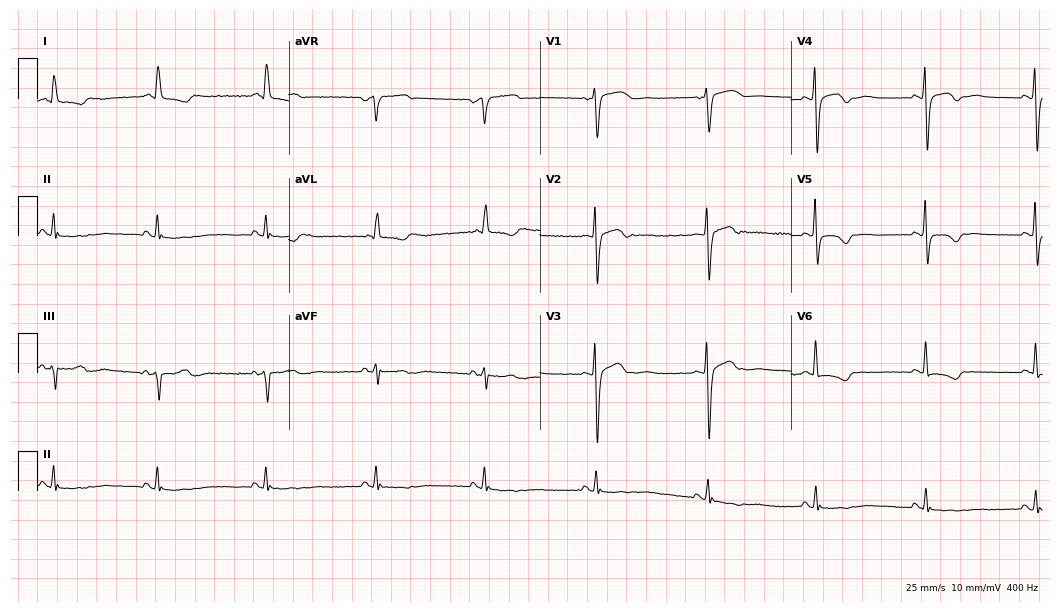
Electrocardiogram (10.2-second recording at 400 Hz), a 71-year-old female. Of the six screened findings (first-degree AV block, right bundle branch block, left bundle branch block, sinus bradycardia, atrial fibrillation, sinus tachycardia), none is recorded. Only these six findings were labelled.